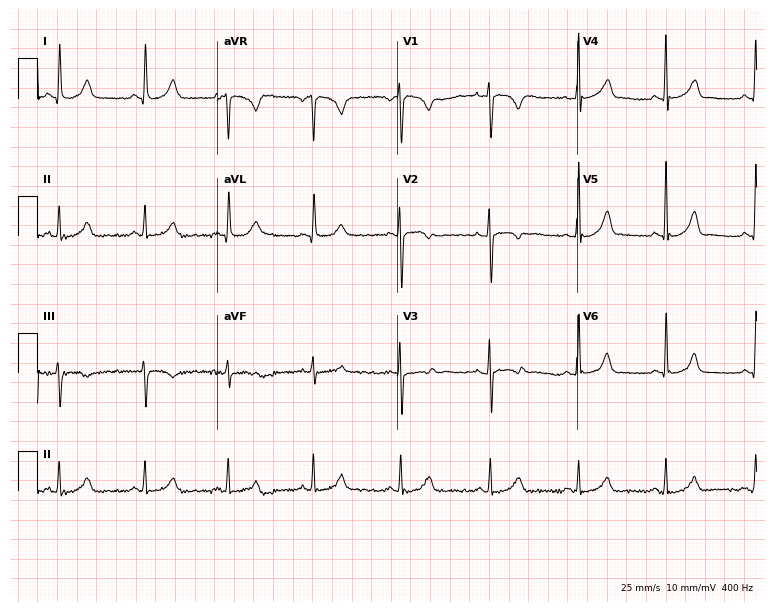
12-lead ECG from a woman, 32 years old. Labelled as a normal ECG.